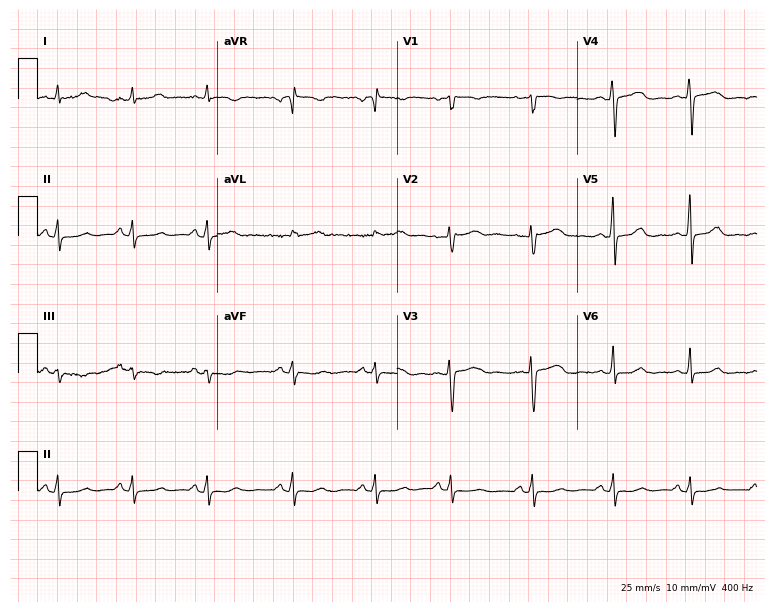
ECG — a 43-year-old woman. Labelled as a normal ECG.